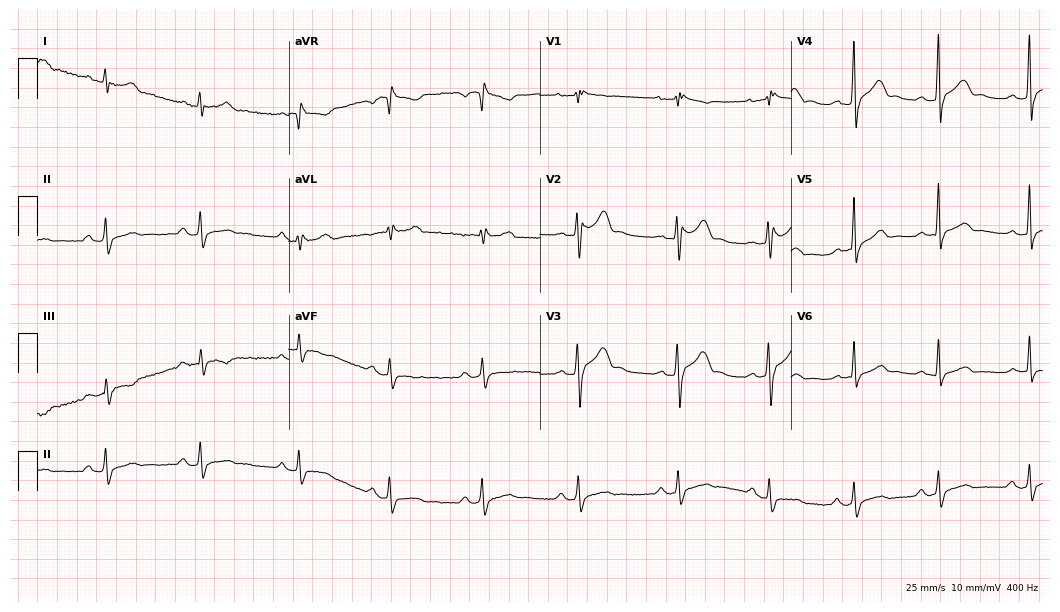
ECG (10.2-second recording at 400 Hz) — a 32-year-old male patient. Screened for six findings — first-degree AV block, right bundle branch block, left bundle branch block, sinus bradycardia, atrial fibrillation, sinus tachycardia — none is recorded.